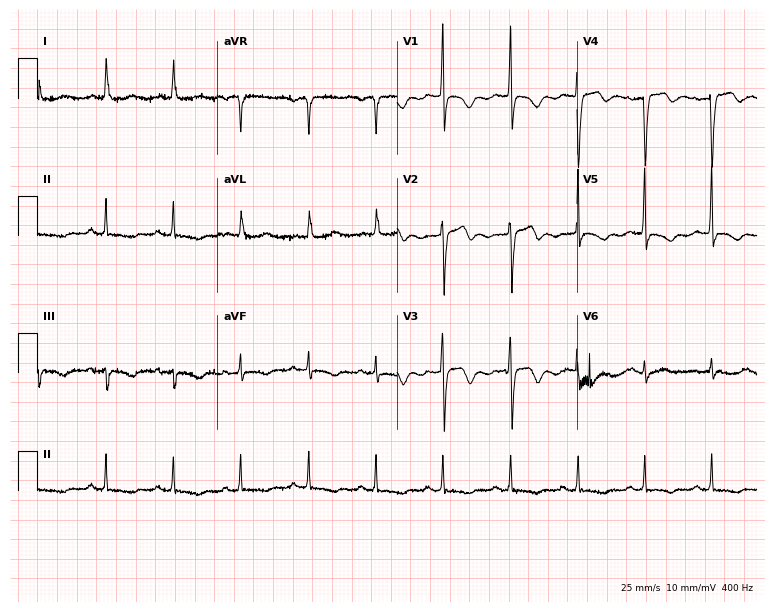
12-lead ECG from a 66-year-old woman. Screened for six findings — first-degree AV block, right bundle branch block, left bundle branch block, sinus bradycardia, atrial fibrillation, sinus tachycardia — none is recorded. Findings outside these six are not listed.